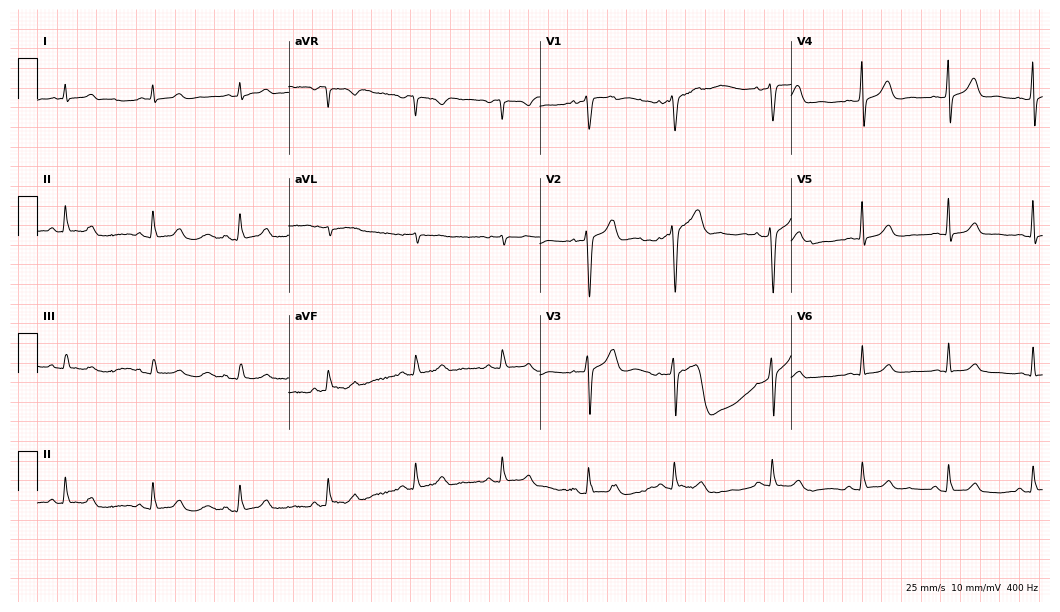
Resting 12-lead electrocardiogram (10.2-second recording at 400 Hz). Patient: a man, 72 years old. Read as a normal ECG.